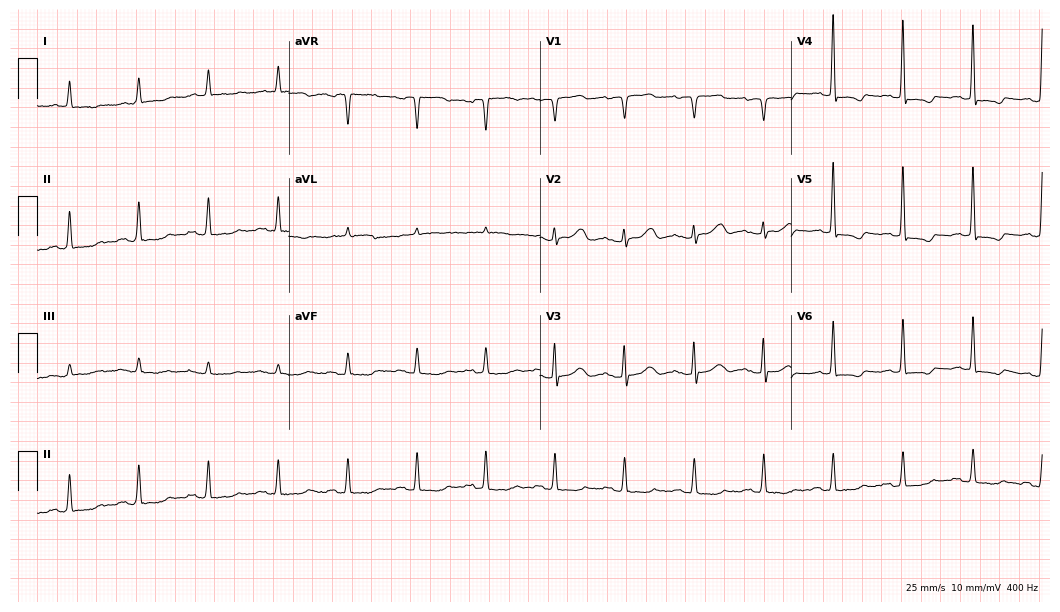
ECG — an 85-year-old woman. Screened for six findings — first-degree AV block, right bundle branch block, left bundle branch block, sinus bradycardia, atrial fibrillation, sinus tachycardia — none is recorded. Only these six findings were labelled.